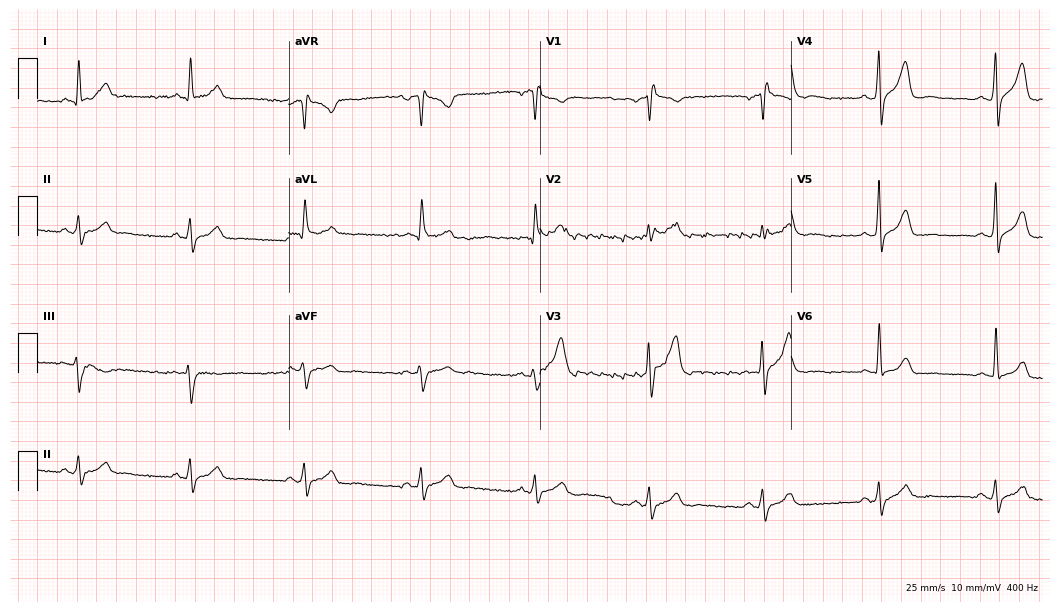
12-lead ECG from a male patient, 59 years old. No first-degree AV block, right bundle branch block, left bundle branch block, sinus bradycardia, atrial fibrillation or sinus tachycardia recorded for this tracing. Only these six findings were labelled.